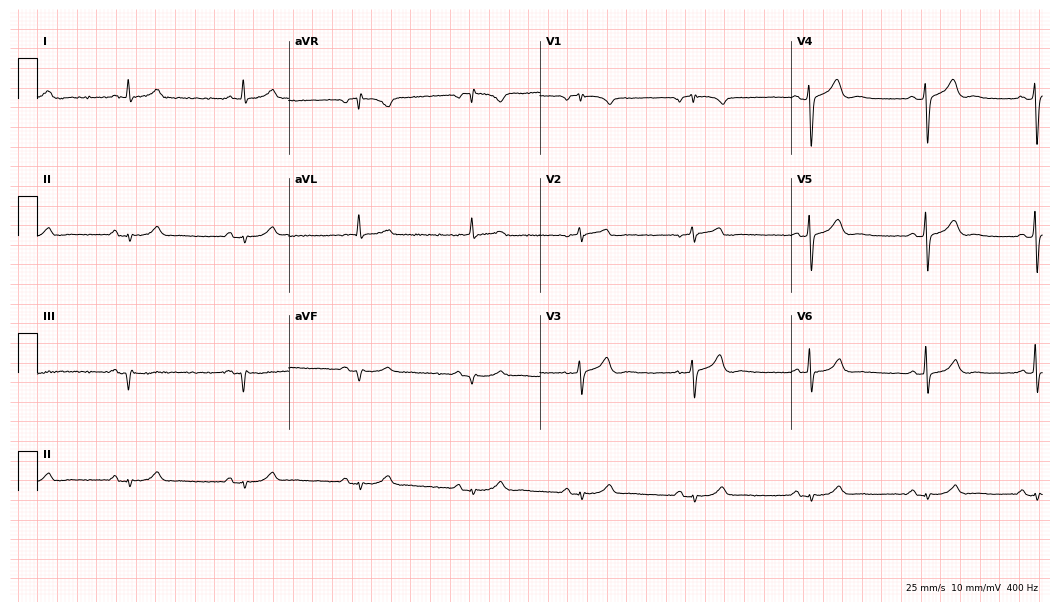
12-lead ECG (10.2-second recording at 400 Hz) from a 57-year-old male. Screened for six findings — first-degree AV block, right bundle branch block (RBBB), left bundle branch block (LBBB), sinus bradycardia, atrial fibrillation (AF), sinus tachycardia — none is recorded. Only these six findings were labelled.